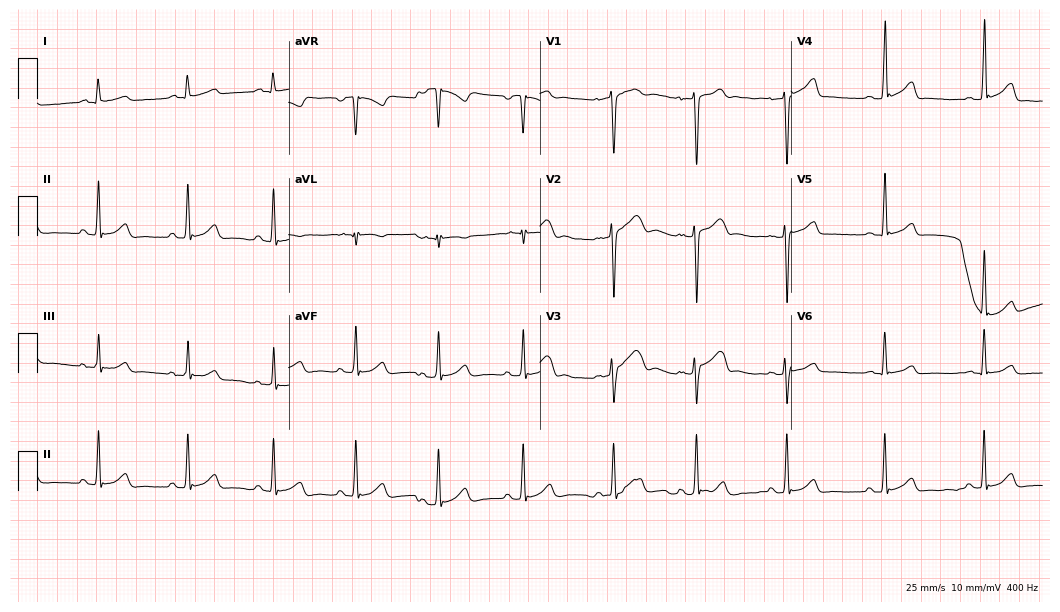
ECG — a 21-year-old man. Labelled as a normal ECG.